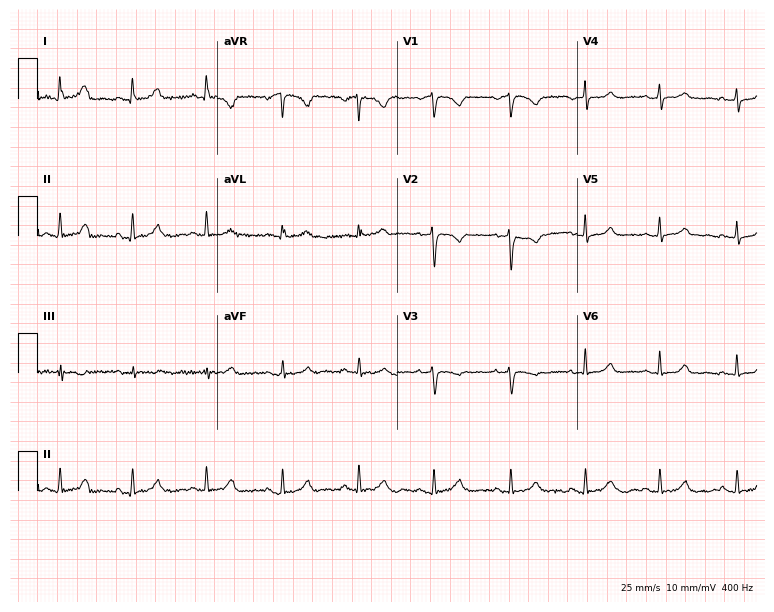
ECG — a 47-year-old female patient. Screened for six findings — first-degree AV block, right bundle branch block, left bundle branch block, sinus bradycardia, atrial fibrillation, sinus tachycardia — none is recorded.